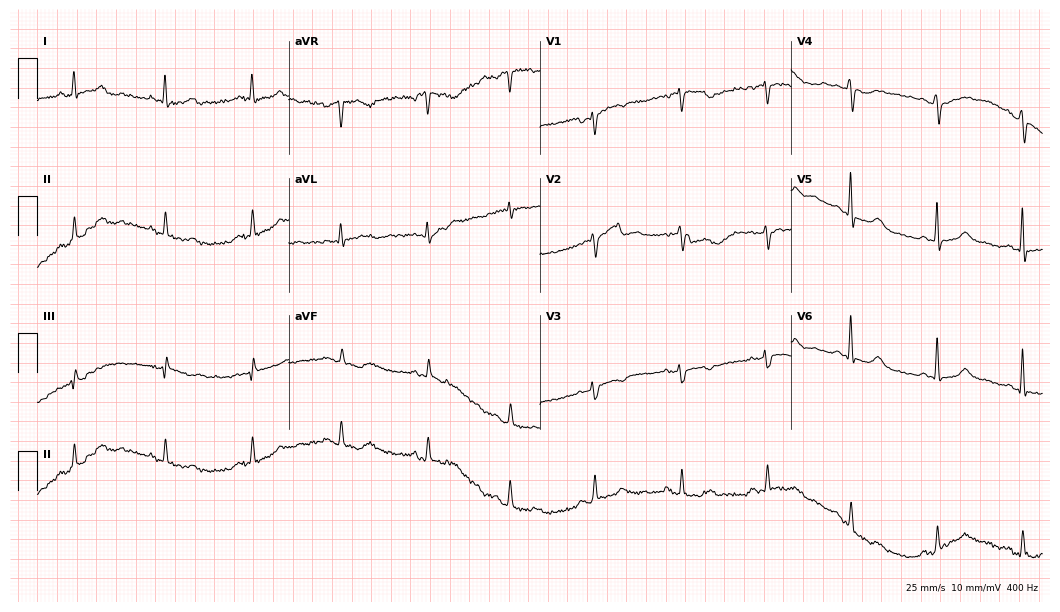
Electrocardiogram, a 53-year-old female. Of the six screened findings (first-degree AV block, right bundle branch block (RBBB), left bundle branch block (LBBB), sinus bradycardia, atrial fibrillation (AF), sinus tachycardia), none is recorded.